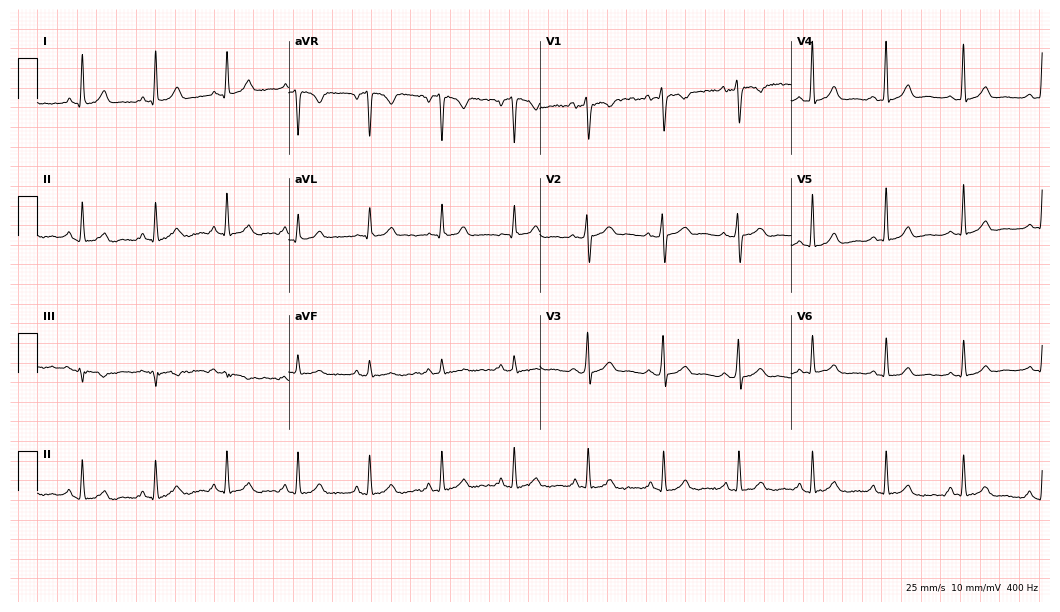
12-lead ECG from a 32-year-old female (10.2-second recording at 400 Hz). Recorded interpretation: within normal limits.